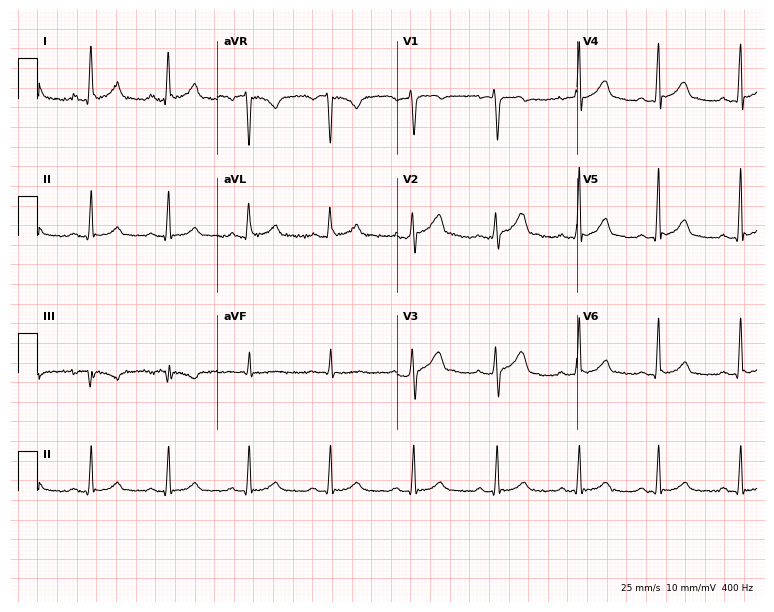
12-lead ECG from a 27-year-old male patient. Recorded interpretation: within normal limits.